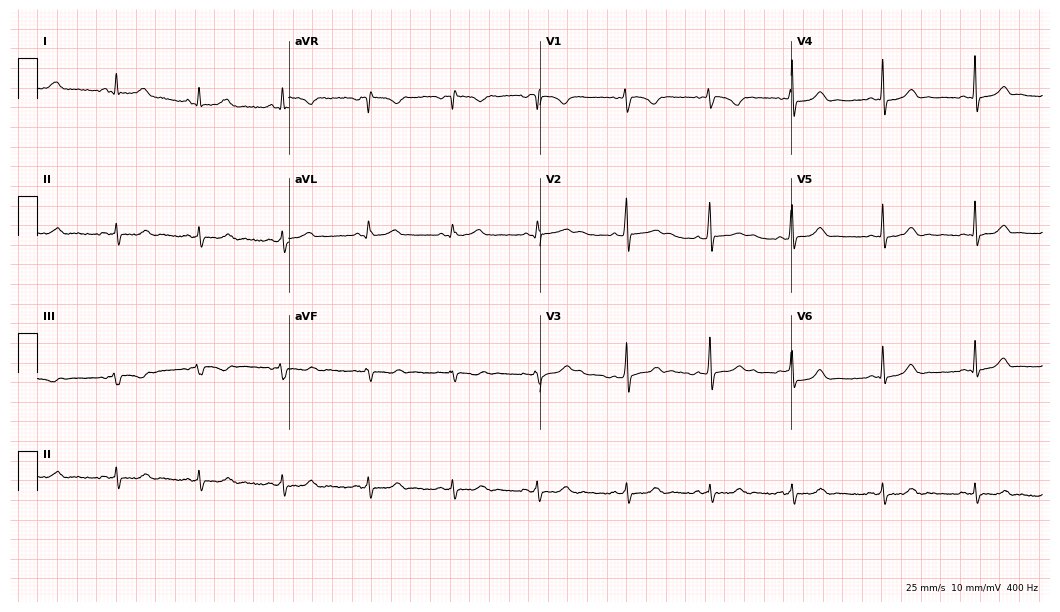
Standard 12-lead ECG recorded from a woman, 32 years old (10.2-second recording at 400 Hz). Read as a normal ECG.